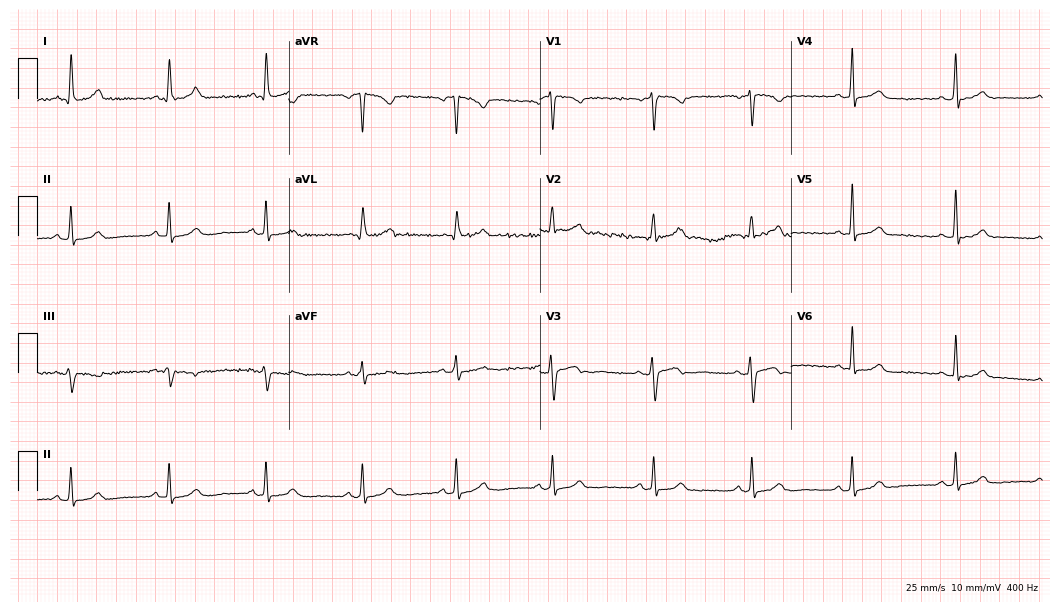
Electrocardiogram, a 24-year-old woman. Overall reading on record: normal ECG.